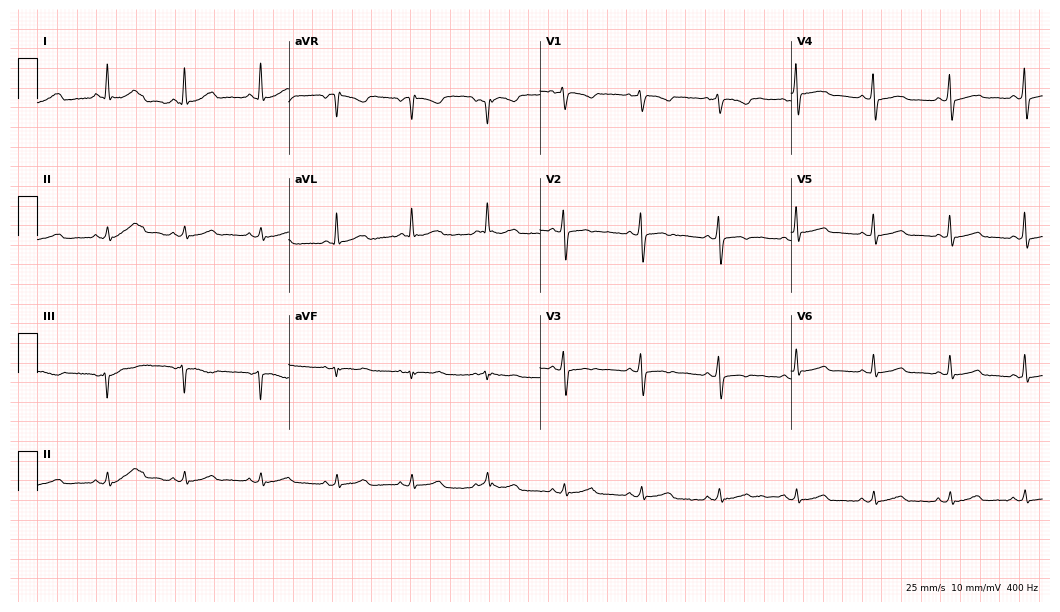
Electrocardiogram, a 51-year-old female. Of the six screened findings (first-degree AV block, right bundle branch block, left bundle branch block, sinus bradycardia, atrial fibrillation, sinus tachycardia), none is recorded.